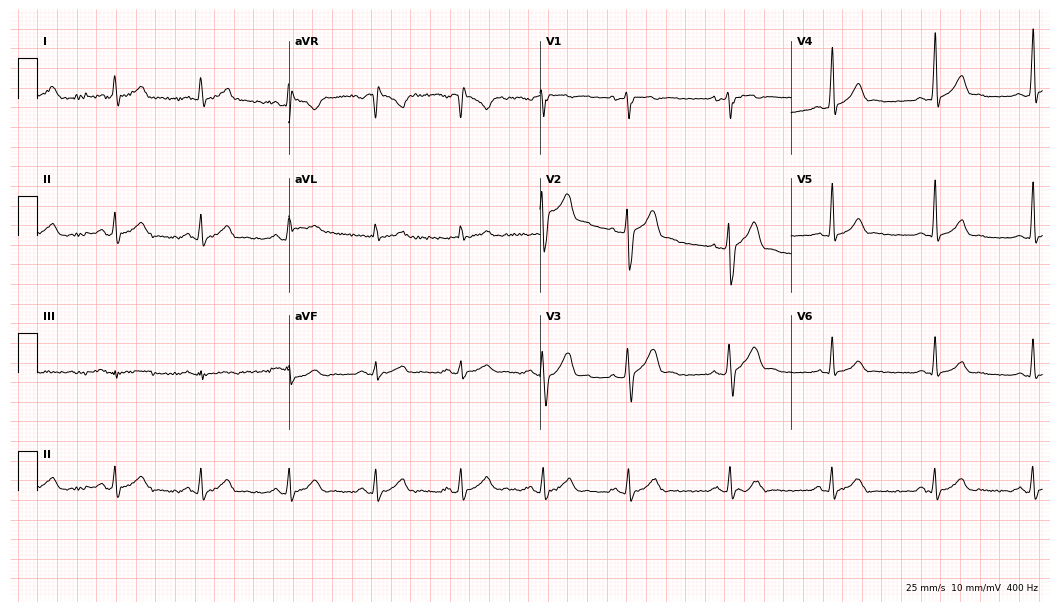
Electrocardiogram (10.2-second recording at 400 Hz), a 27-year-old man. Interpretation includes atrial fibrillation.